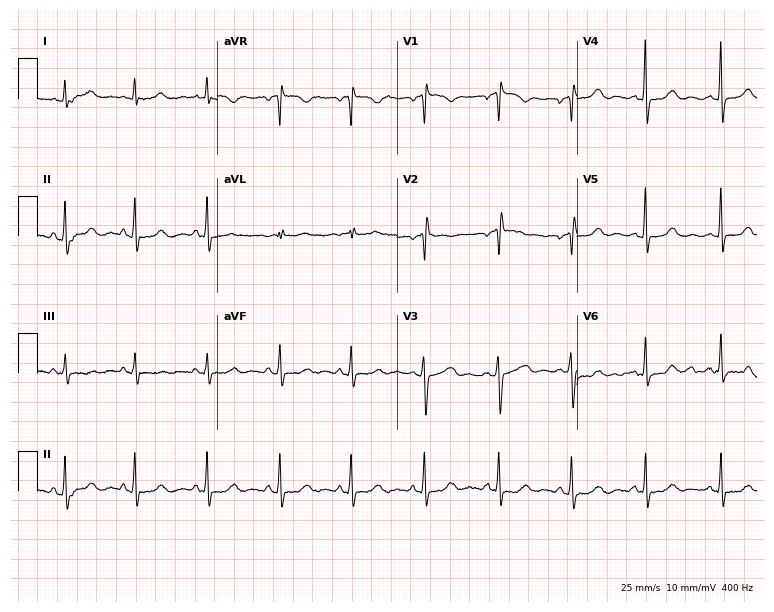
12-lead ECG from a female patient, 67 years old. No first-degree AV block, right bundle branch block, left bundle branch block, sinus bradycardia, atrial fibrillation or sinus tachycardia recorded for this tracing. Other findings, if any, are not listed.